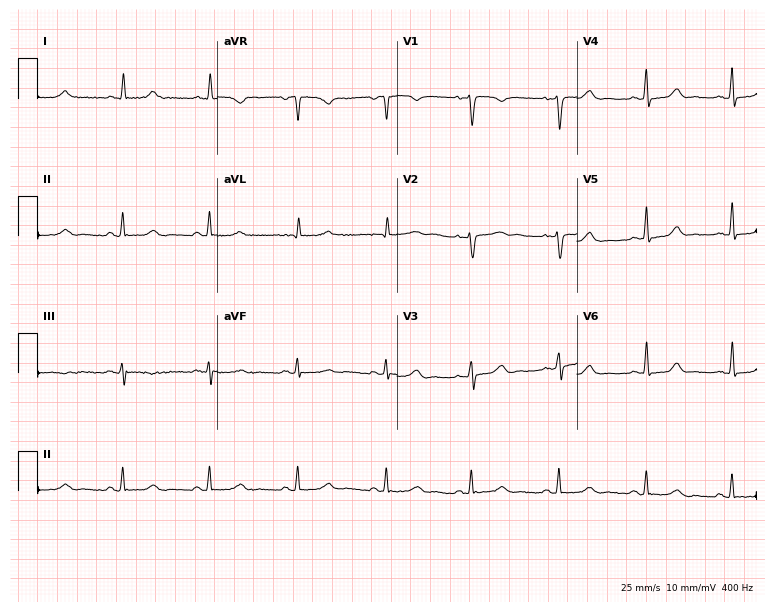
12-lead ECG from a female, 49 years old. No first-degree AV block, right bundle branch block, left bundle branch block, sinus bradycardia, atrial fibrillation or sinus tachycardia recorded for this tracing. Other findings, if any, are not listed.